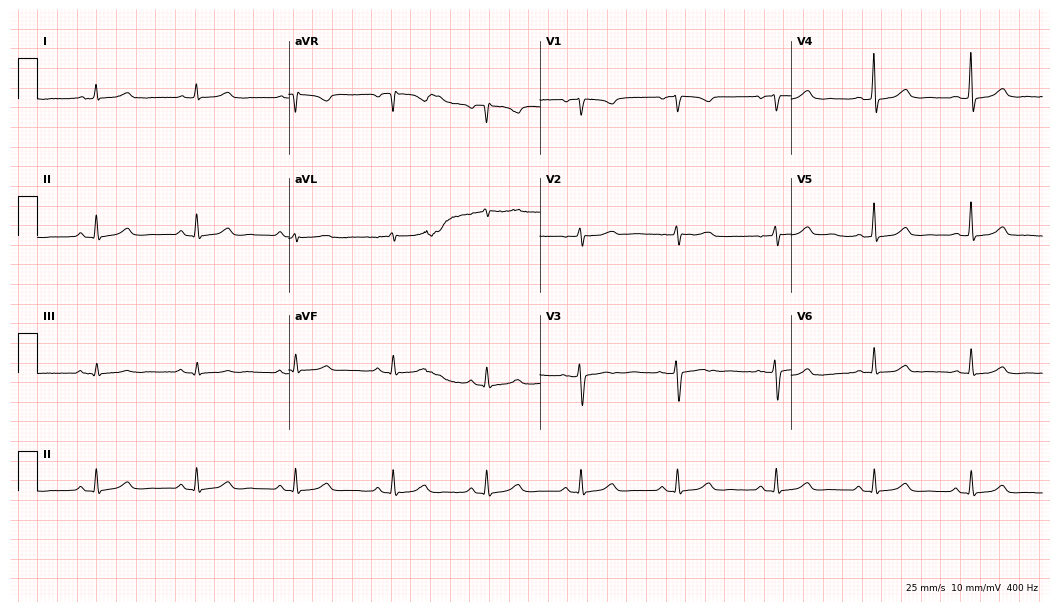
12-lead ECG (10.2-second recording at 400 Hz) from a 49-year-old female patient. Screened for six findings — first-degree AV block, right bundle branch block, left bundle branch block, sinus bradycardia, atrial fibrillation, sinus tachycardia — none is recorded.